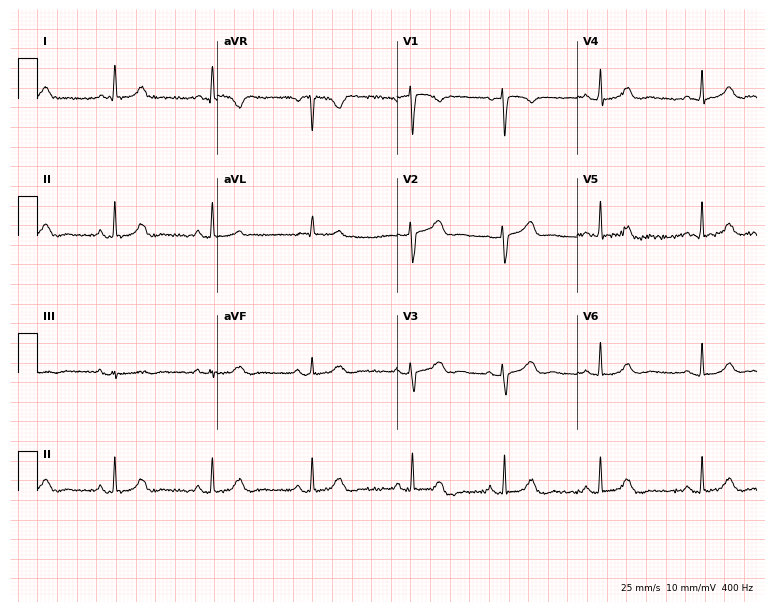
Standard 12-lead ECG recorded from a woman, 54 years old. Read as a normal ECG.